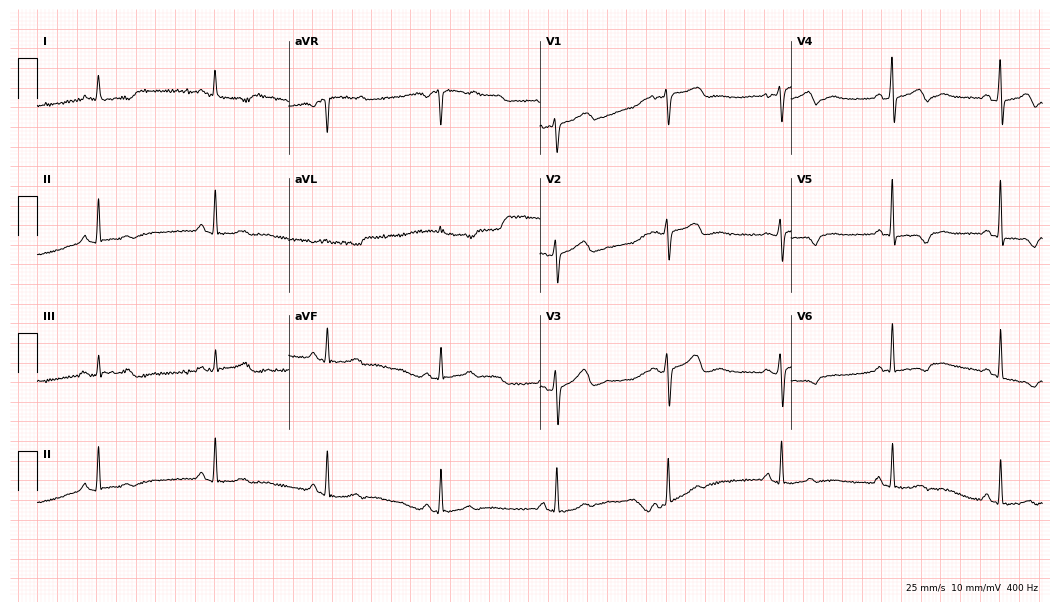
Electrocardiogram (10.2-second recording at 400 Hz), a 50-year-old female patient. Of the six screened findings (first-degree AV block, right bundle branch block, left bundle branch block, sinus bradycardia, atrial fibrillation, sinus tachycardia), none is recorded.